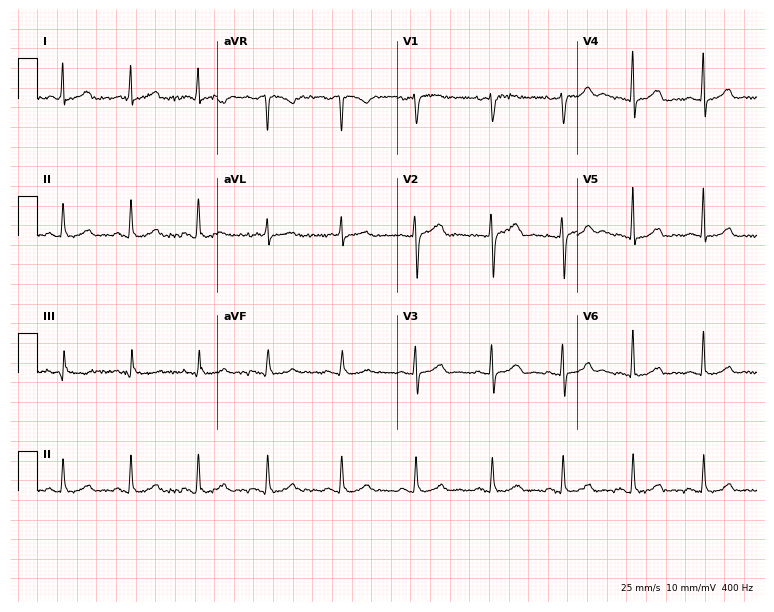
Standard 12-lead ECG recorded from a 61-year-old woman (7.3-second recording at 400 Hz). Read as a normal ECG.